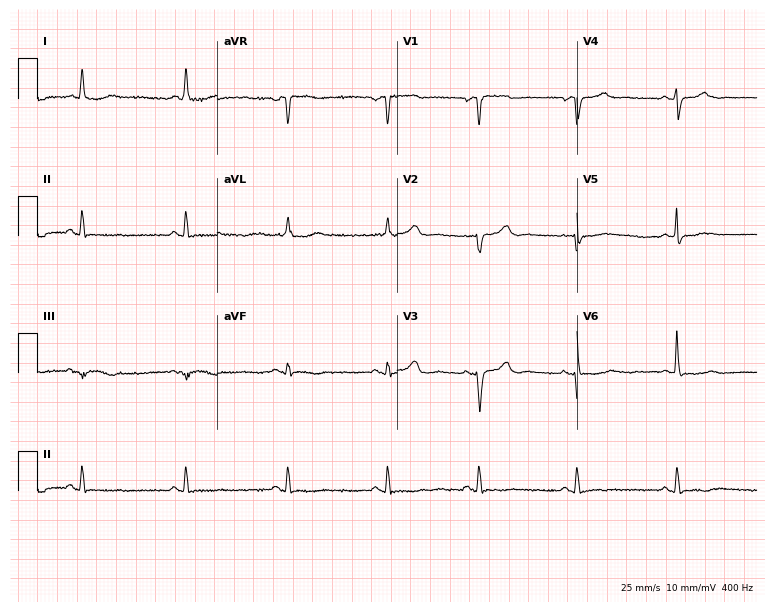
12-lead ECG from a female, 68 years old. Screened for six findings — first-degree AV block, right bundle branch block, left bundle branch block, sinus bradycardia, atrial fibrillation, sinus tachycardia — none is recorded. Findings outside these six are not listed.